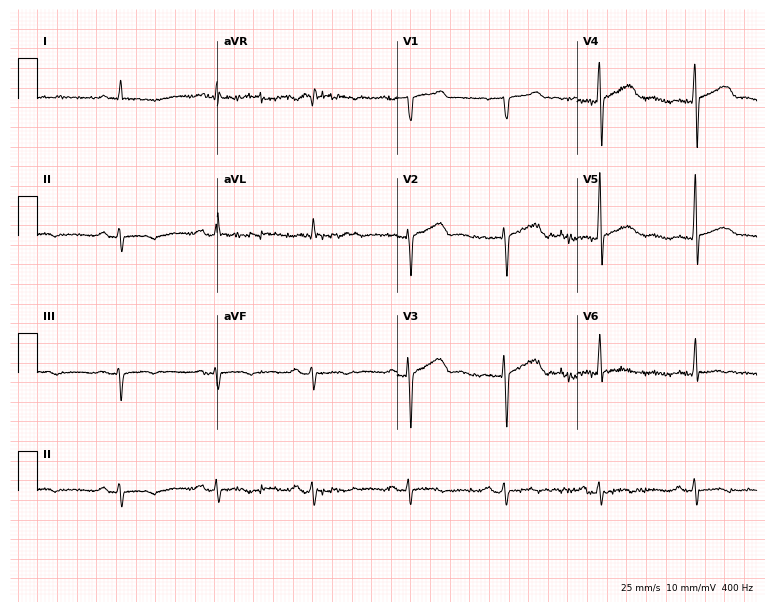
Standard 12-lead ECG recorded from a male patient, 61 years old. None of these six findings is recorded: first-degree AV block, right bundle branch block (RBBB), left bundle branch block (LBBB), sinus bradycardia, atrial fibrillation (AF), sinus tachycardia.